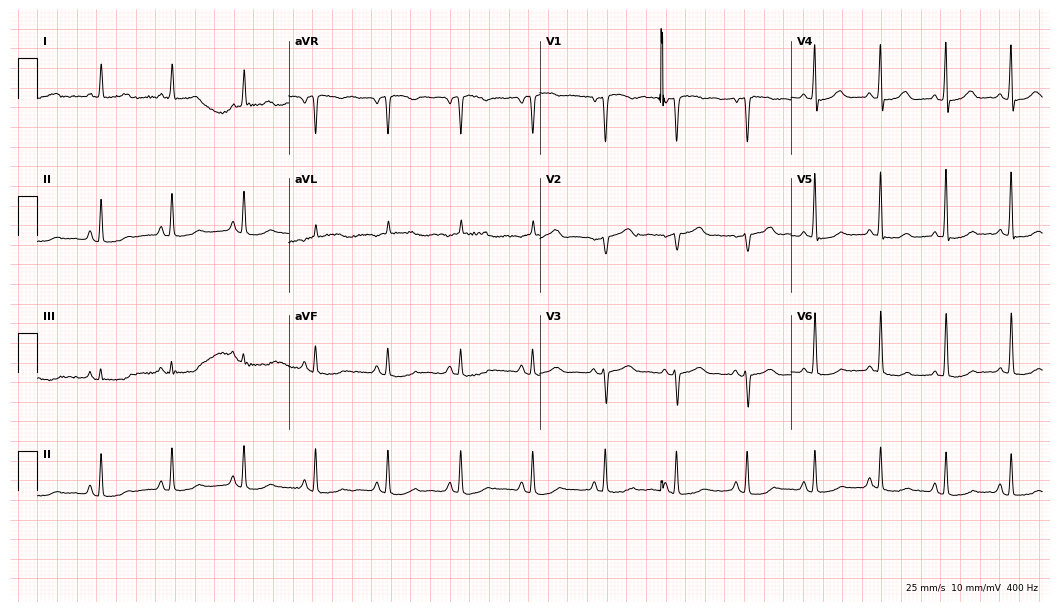
12-lead ECG from a female patient, 69 years old. No first-degree AV block, right bundle branch block (RBBB), left bundle branch block (LBBB), sinus bradycardia, atrial fibrillation (AF) or sinus tachycardia recorded for this tracing.